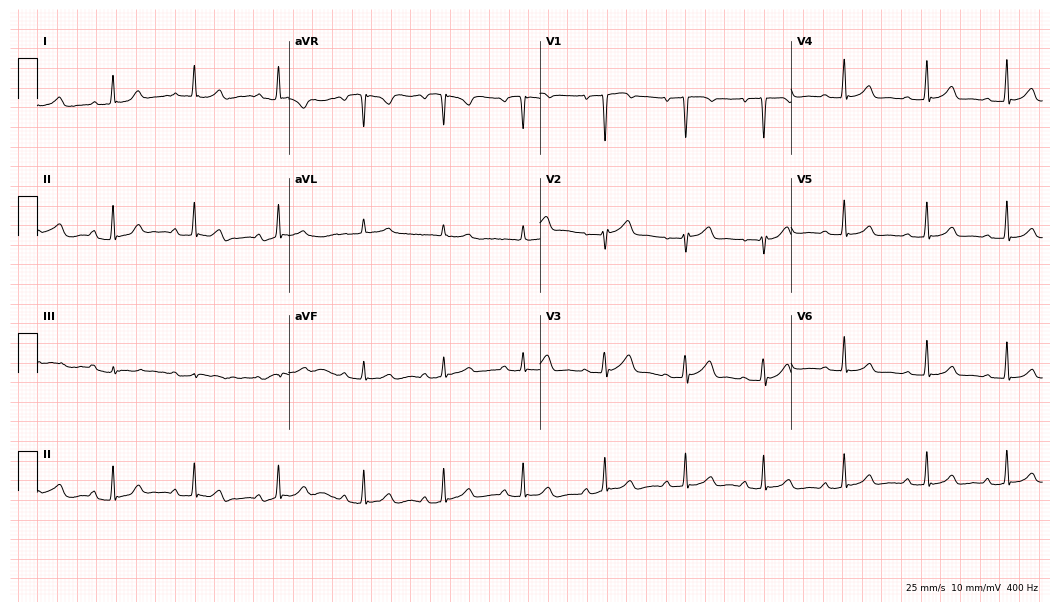
Standard 12-lead ECG recorded from a 37-year-old female (10.2-second recording at 400 Hz). Read as a normal ECG.